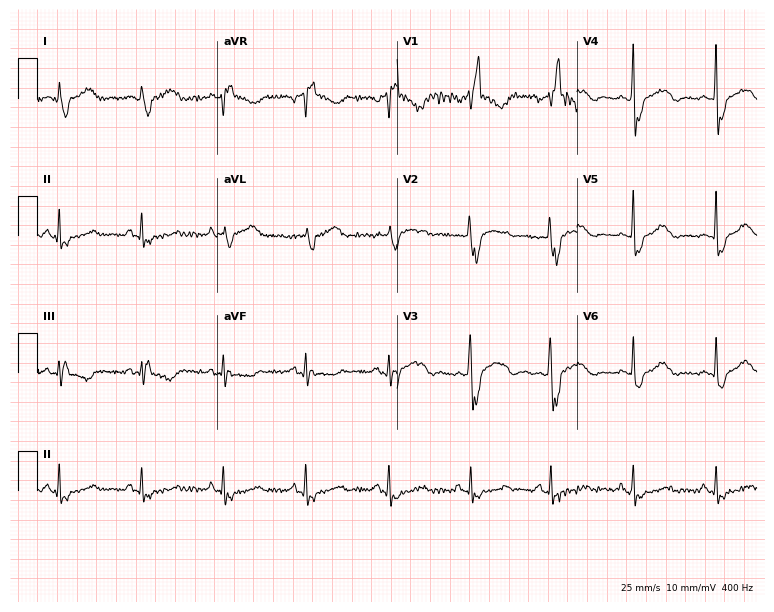
Resting 12-lead electrocardiogram. Patient: an 84-year-old female. The tracing shows right bundle branch block.